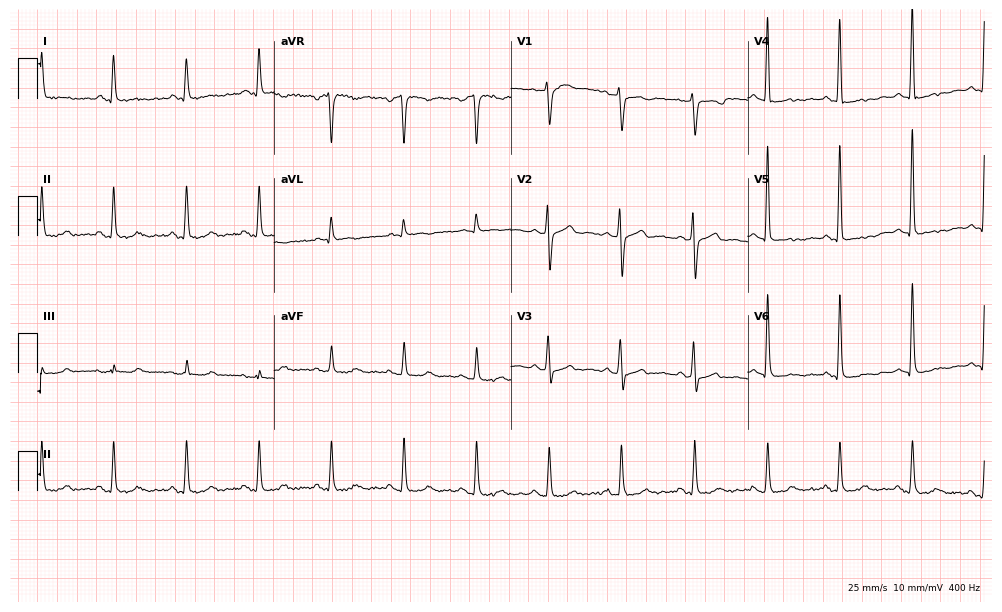
Resting 12-lead electrocardiogram (9.7-second recording at 400 Hz). Patient: a female, 72 years old. None of these six findings is recorded: first-degree AV block, right bundle branch block (RBBB), left bundle branch block (LBBB), sinus bradycardia, atrial fibrillation (AF), sinus tachycardia.